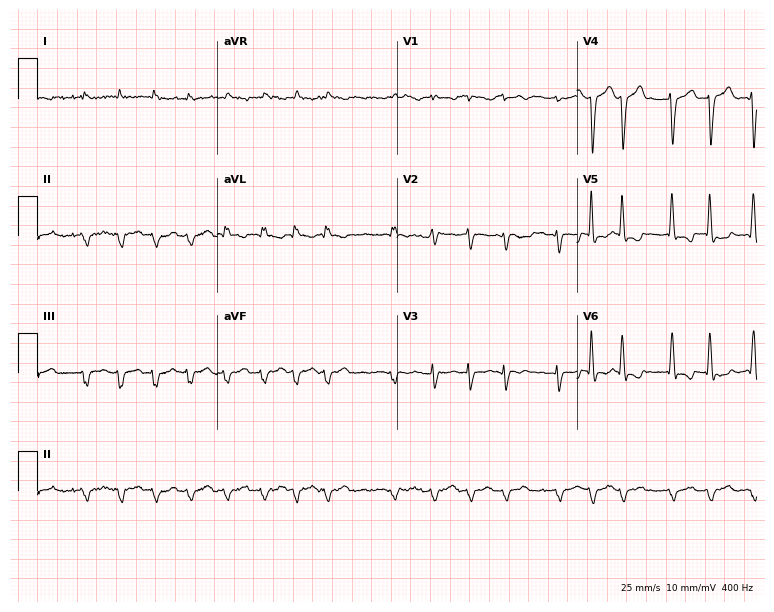
Resting 12-lead electrocardiogram. Patient: a 75-year-old female. The tracing shows atrial fibrillation.